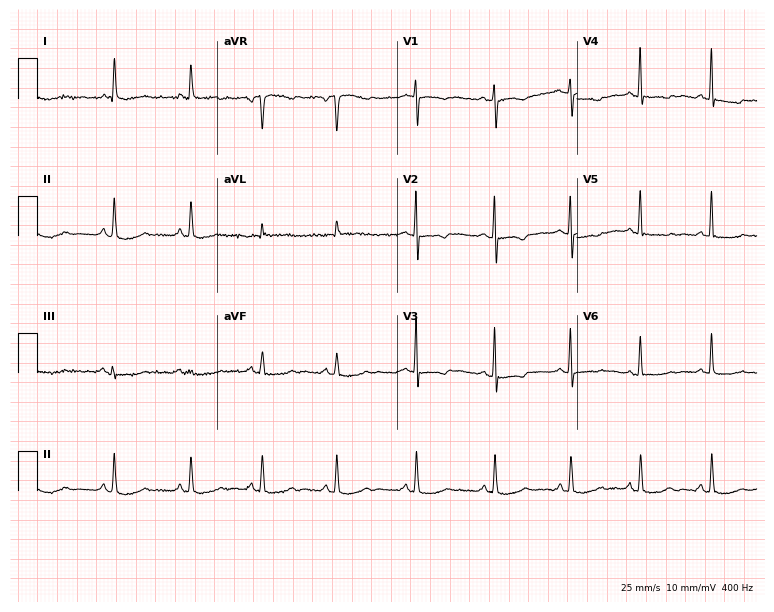
ECG — a woman, 57 years old. Screened for six findings — first-degree AV block, right bundle branch block (RBBB), left bundle branch block (LBBB), sinus bradycardia, atrial fibrillation (AF), sinus tachycardia — none is recorded. Other findings, if any, are not listed.